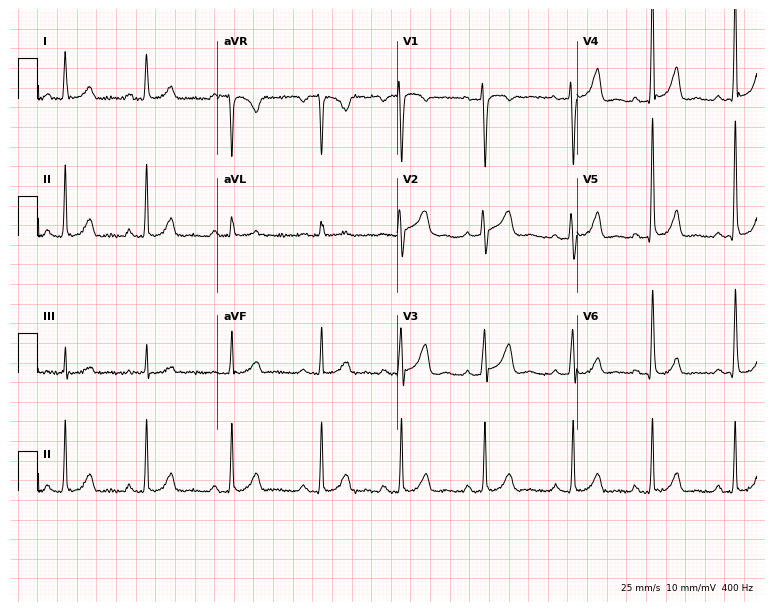
Resting 12-lead electrocardiogram. Patient: a 40-year-old woman. None of these six findings is recorded: first-degree AV block, right bundle branch block, left bundle branch block, sinus bradycardia, atrial fibrillation, sinus tachycardia.